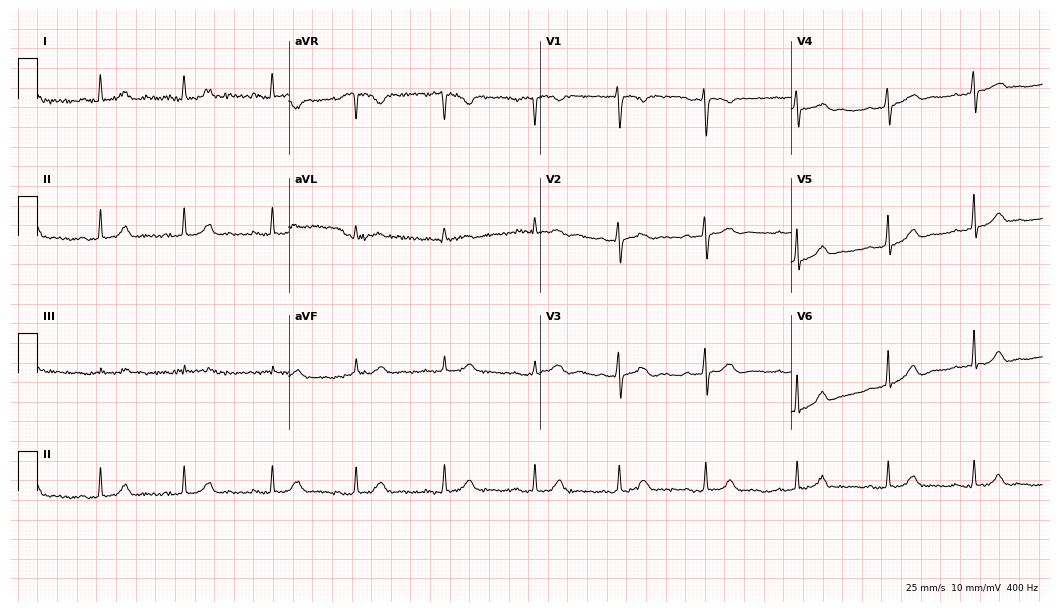
Electrocardiogram (10.2-second recording at 400 Hz), a female, 20 years old. Overall reading on record: normal ECG.